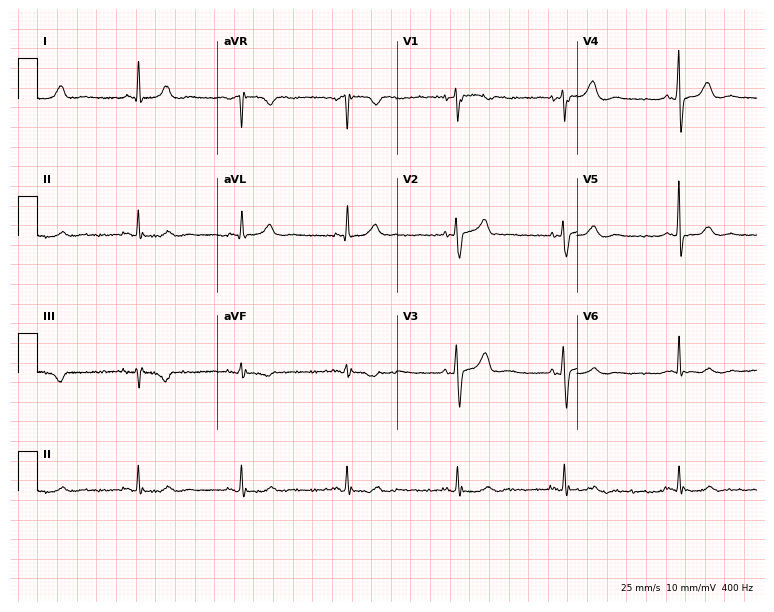
Electrocardiogram, a female patient, 77 years old. Of the six screened findings (first-degree AV block, right bundle branch block (RBBB), left bundle branch block (LBBB), sinus bradycardia, atrial fibrillation (AF), sinus tachycardia), none is recorded. Other findings, if any, are not listed.